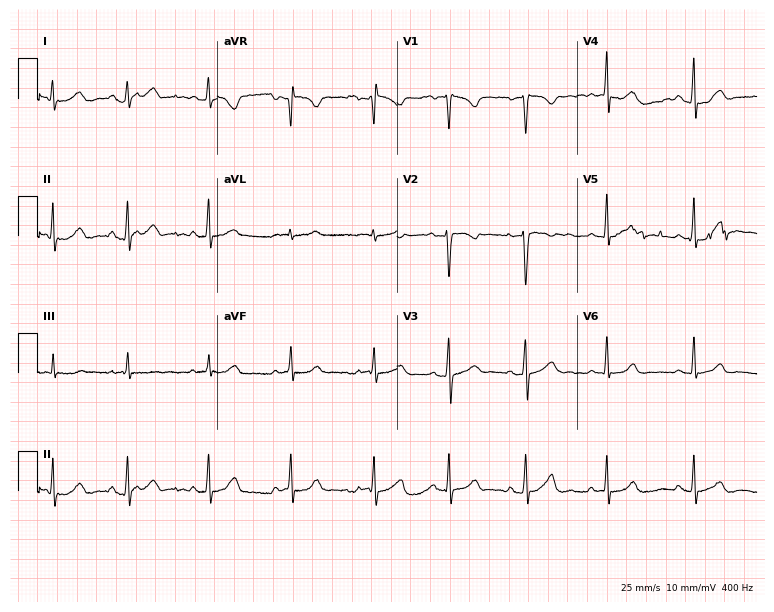
12-lead ECG from a female, 25 years old. Recorded interpretation: within normal limits.